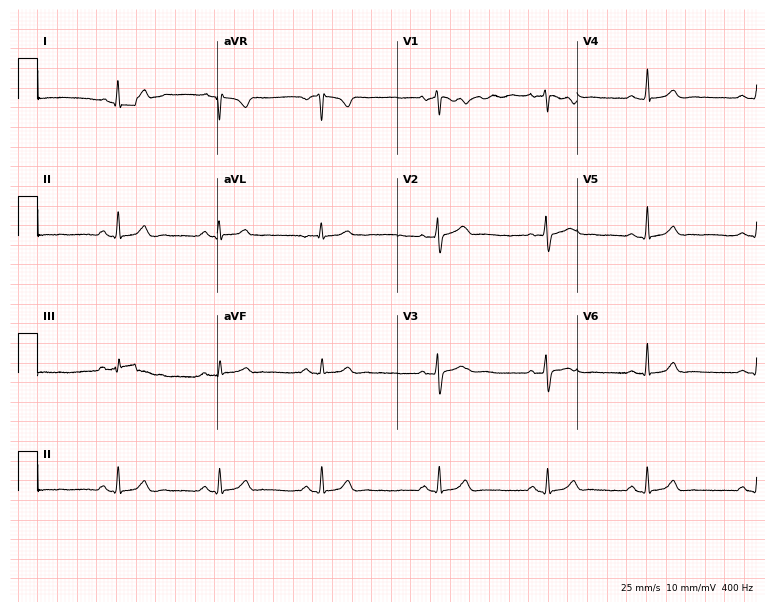
12-lead ECG from a 31-year-old female (7.3-second recording at 400 Hz). No first-degree AV block, right bundle branch block, left bundle branch block, sinus bradycardia, atrial fibrillation or sinus tachycardia recorded for this tracing. Only these six findings were labelled.